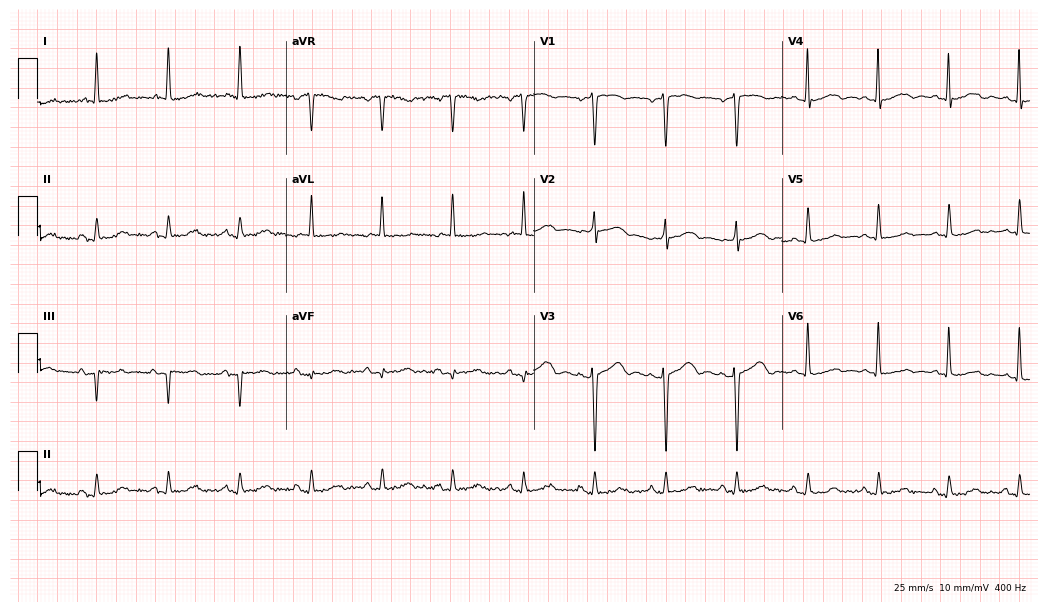
ECG (10.1-second recording at 400 Hz) — an 82-year-old female. Screened for six findings — first-degree AV block, right bundle branch block (RBBB), left bundle branch block (LBBB), sinus bradycardia, atrial fibrillation (AF), sinus tachycardia — none is recorded.